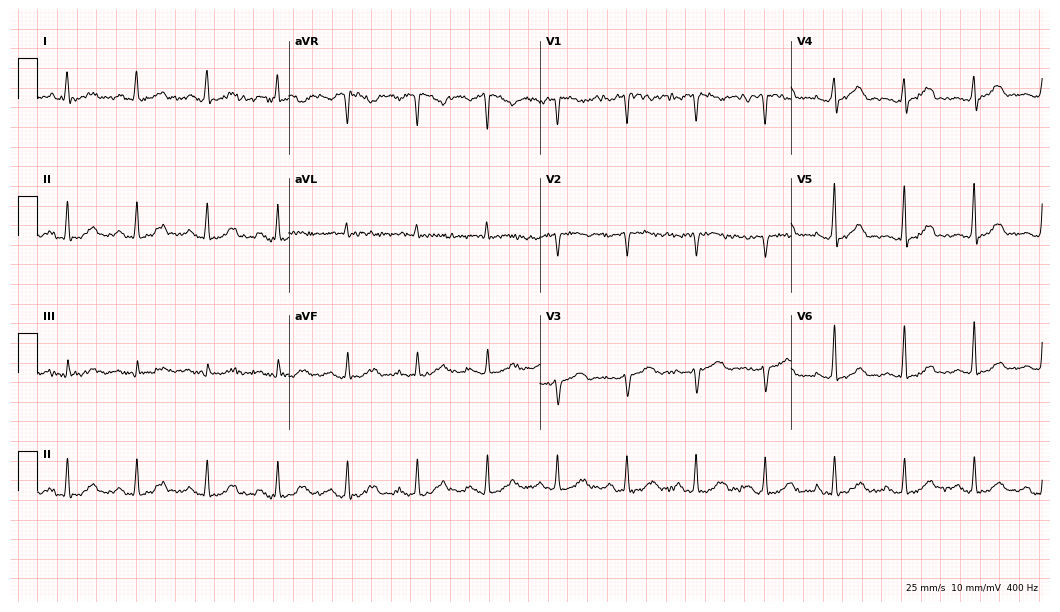
Resting 12-lead electrocardiogram. Patient: a 54-year-old female. Read as a normal ECG.